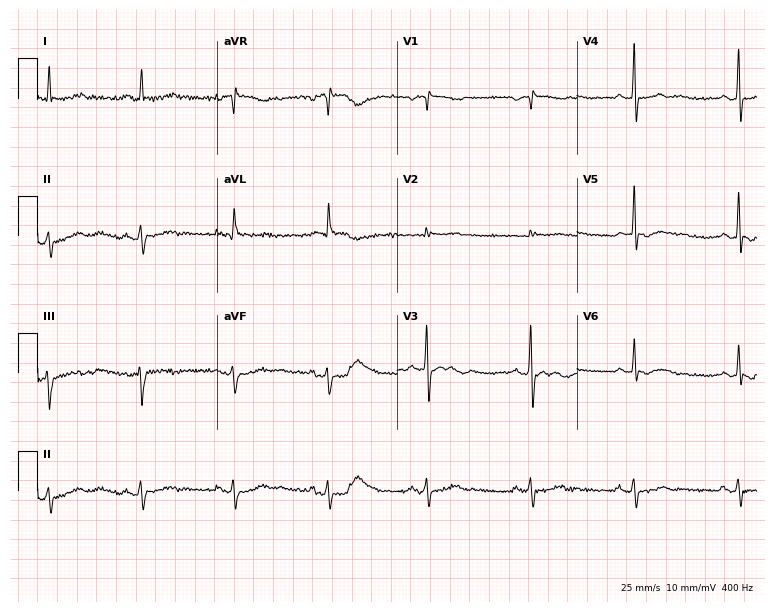
12-lead ECG from a 62-year-old male (7.3-second recording at 400 Hz). No first-degree AV block, right bundle branch block, left bundle branch block, sinus bradycardia, atrial fibrillation or sinus tachycardia recorded for this tracing. Only these six findings were labelled.